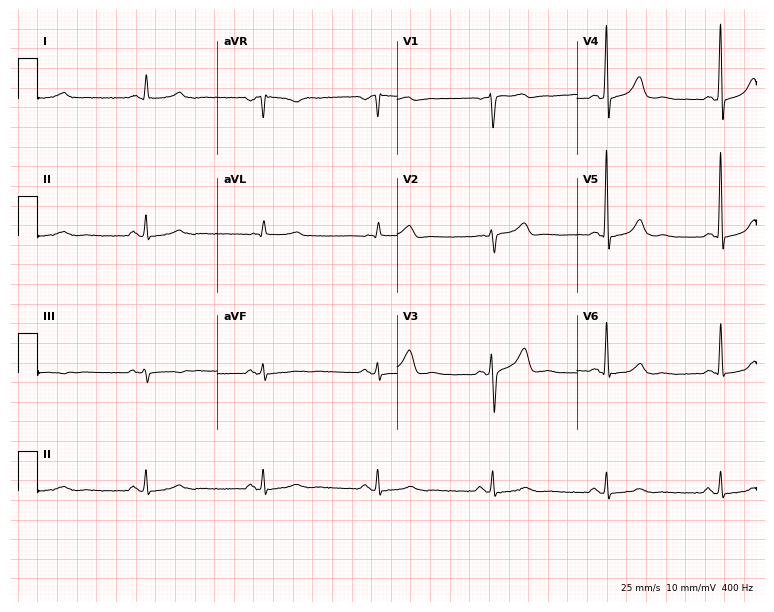
Standard 12-lead ECG recorded from a male, 81 years old. None of these six findings is recorded: first-degree AV block, right bundle branch block (RBBB), left bundle branch block (LBBB), sinus bradycardia, atrial fibrillation (AF), sinus tachycardia. Other findings, if any, are not listed.